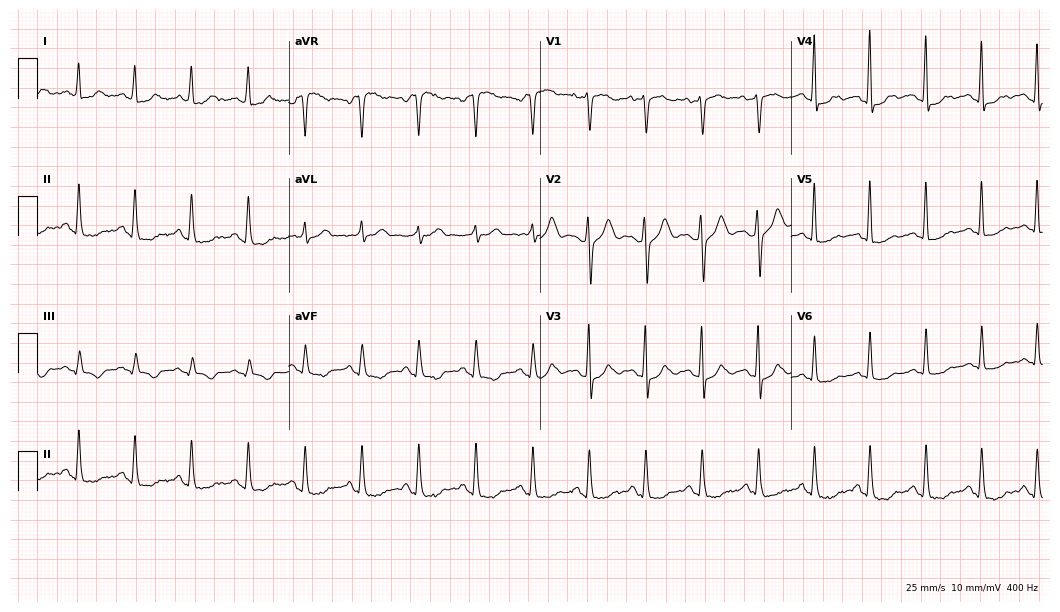
12-lead ECG from a woman, 50 years old. Shows sinus tachycardia (a sinus rate of 100 beats per minute or more).